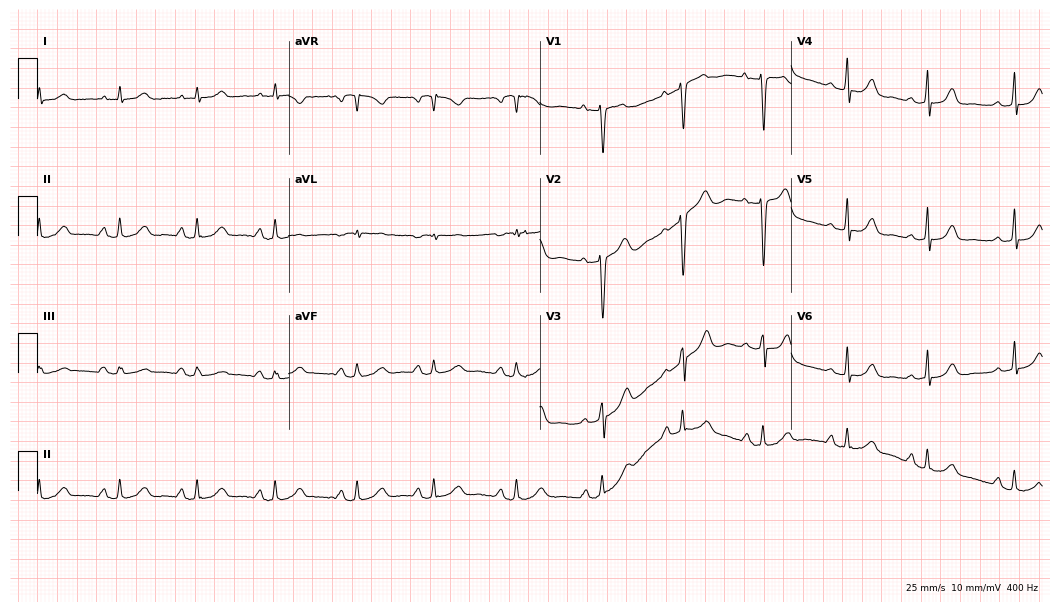
Electrocardiogram (10.2-second recording at 400 Hz), a female patient, 33 years old. Overall reading on record: normal ECG.